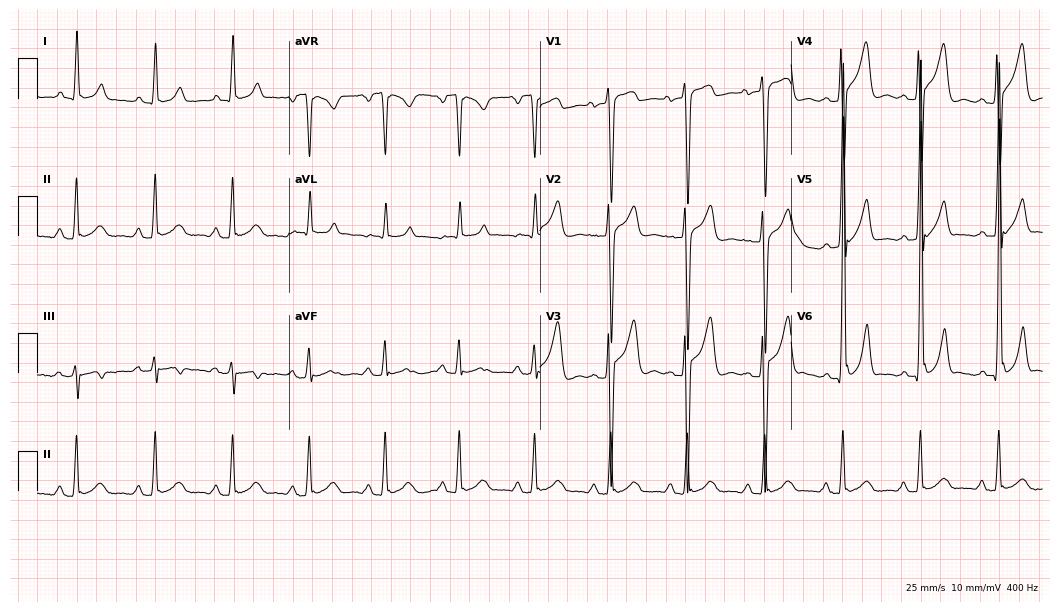
Electrocardiogram, a 29-year-old man. Overall reading on record: normal ECG.